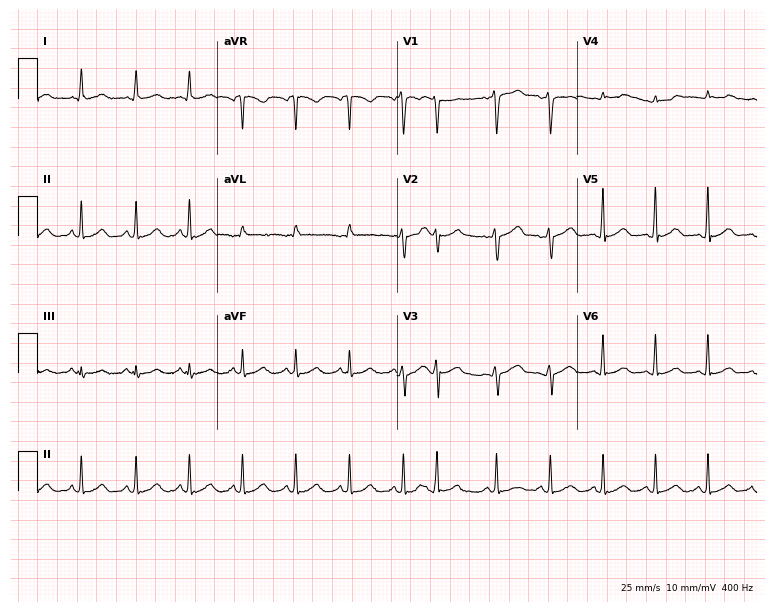
Standard 12-lead ECG recorded from a female, 34 years old. None of these six findings is recorded: first-degree AV block, right bundle branch block (RBBB), left bundle branch block (LBBB), sinus bradycardia, atrial fibrillation (AF), sinus tachycardia.